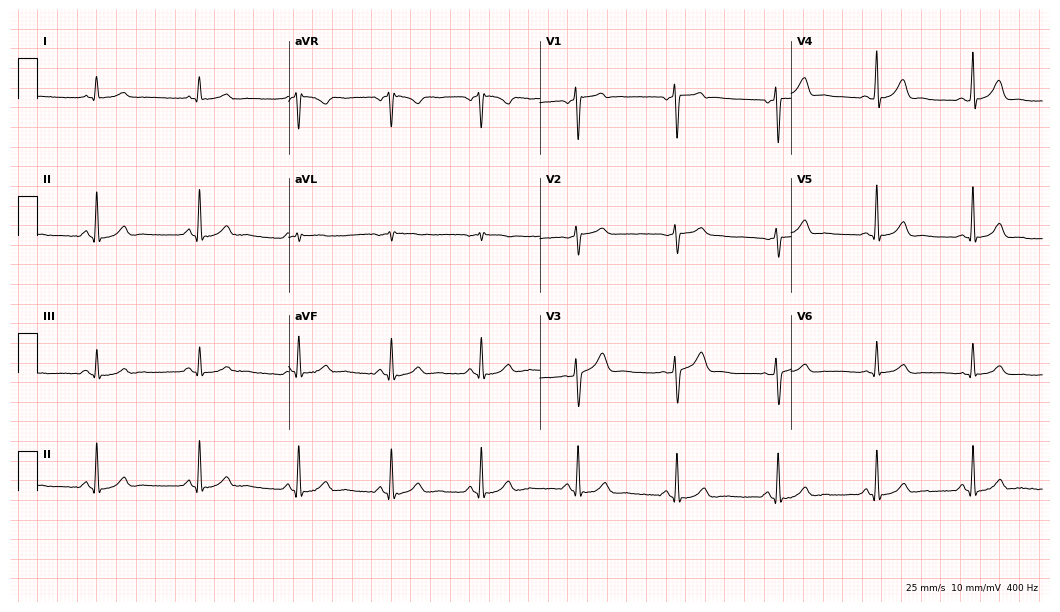
Electrocardiogram (10.2-second recording at 400 Hz), a male, 43 years old. Overall reading on record: normal ECG.